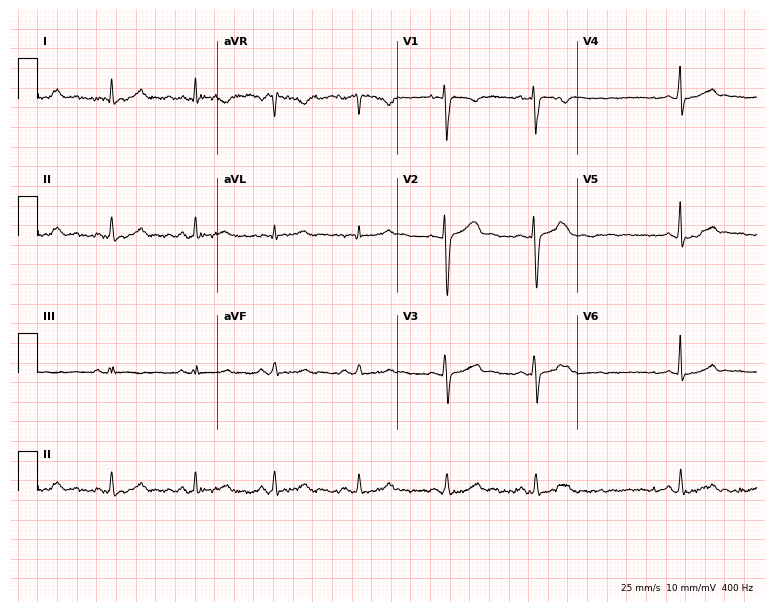
12-lead ECG from a 30-year-old female patient. Recorded interpretation: within normal limits.